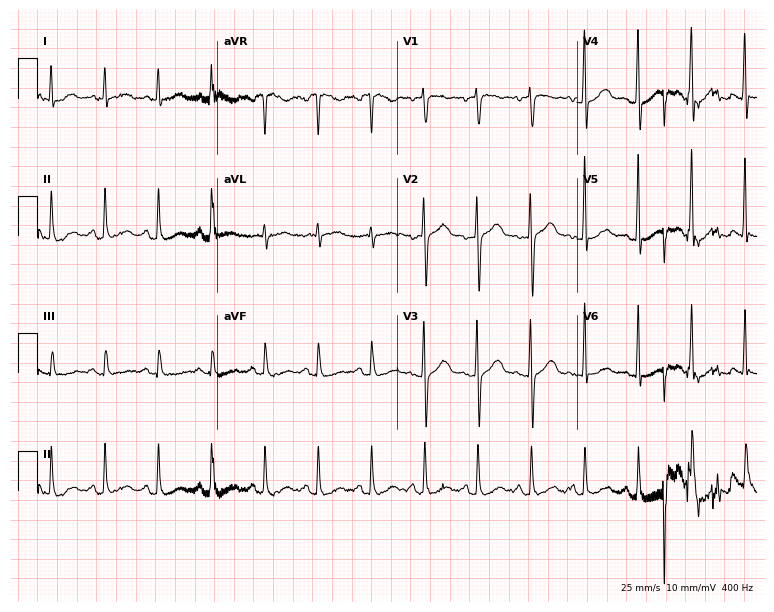
Electrocardiogram (7.3-second recording at 400 Hz), a 54-year-old man. Interpretation includes sinus tachycardia (a sinus rate of 100 beats per minute or more).